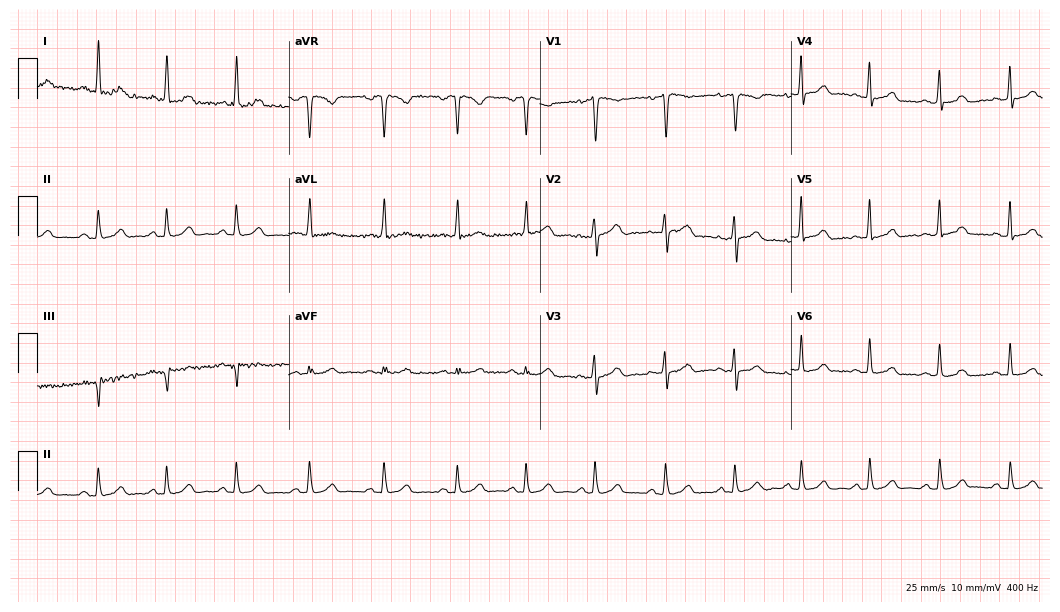
Standard 12-lead ECG recorded from a 37-year-old female patient (10.2-second recording at 400 Hz). Read as a normal ECG.